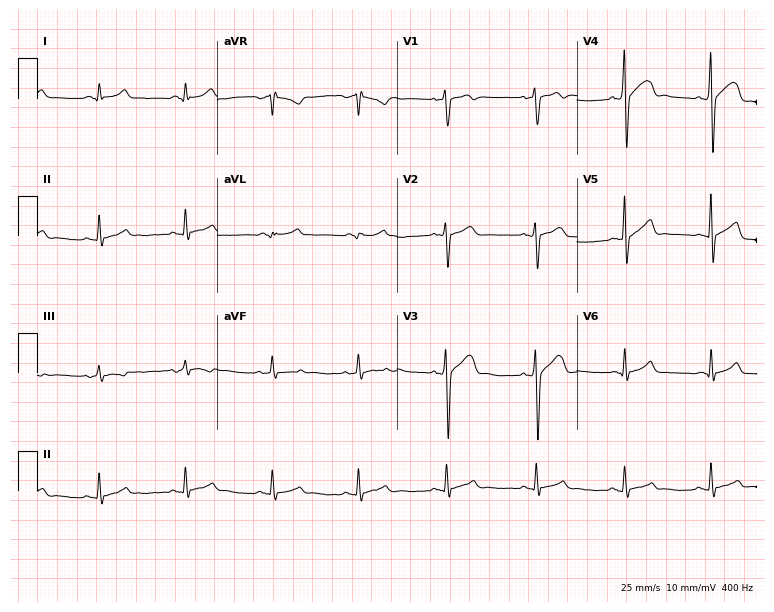
Standard 12-lead ECG recorded from a man, 36 years old. None of these six findings is recorded: first-degree AV block, right bundle branch block, left bundle branch block, sinus bradycardia, atrial fibrillation, sinus tachycardia. Other findings, if any, are not listed.